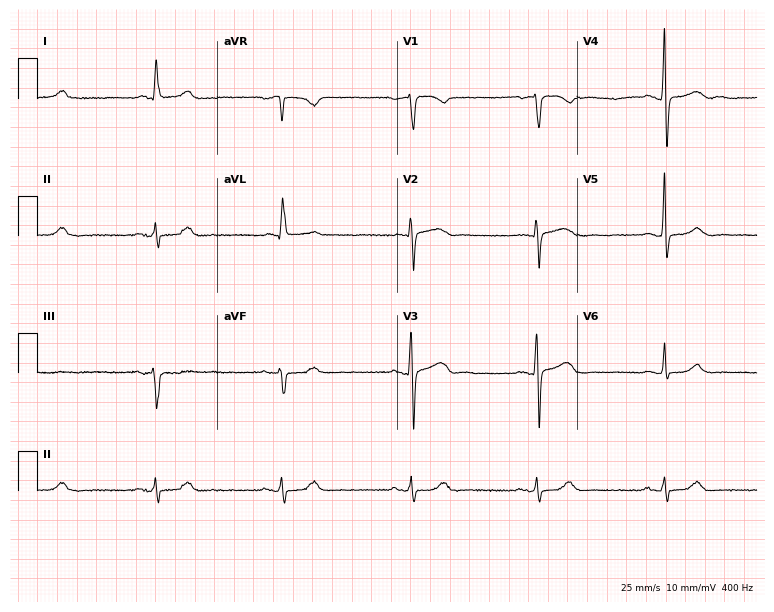
12-lead ECG (7.3-second recording at 400 Hz) from a 72-year-old female patient. Findings include sinus bradycardia (a sinus rate of 50 beats per minute or less).